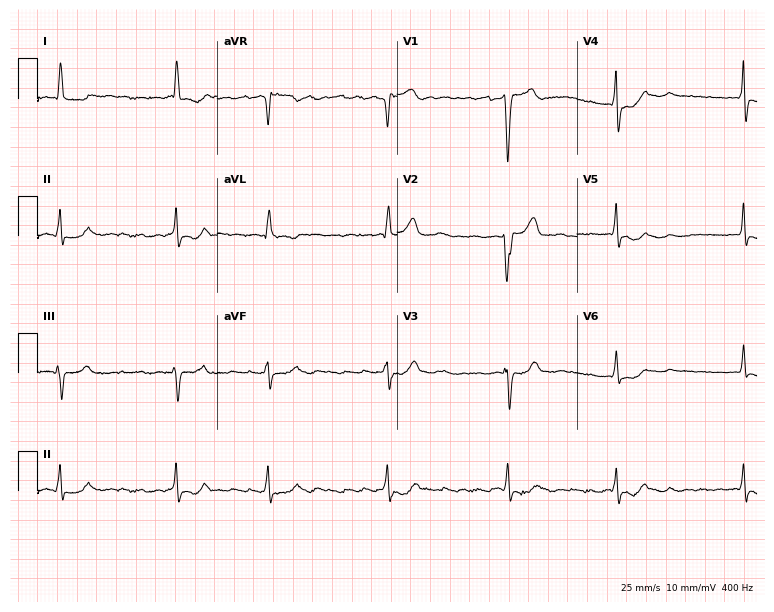
12-lead ECG from a female, 81 years old. Shows atrial fibrillation (AF).